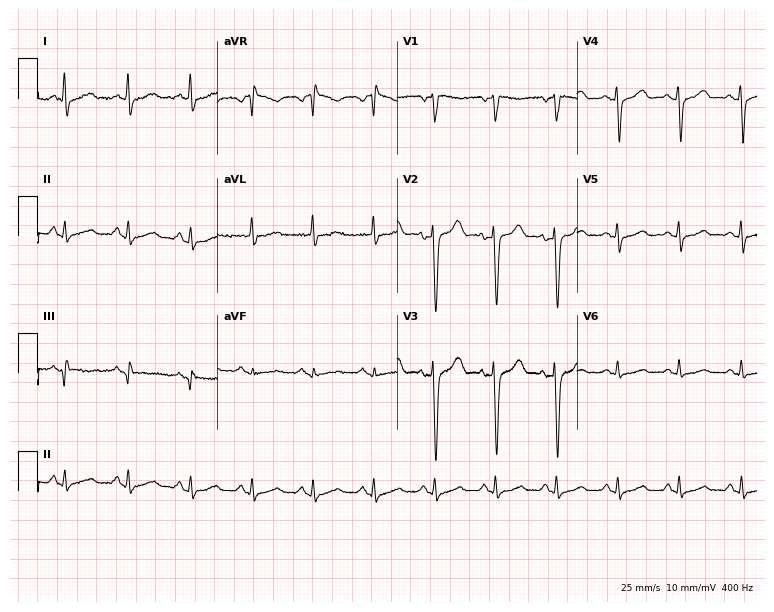
ECG — a female patient, 55 years old. Labelled as a normal ECG.